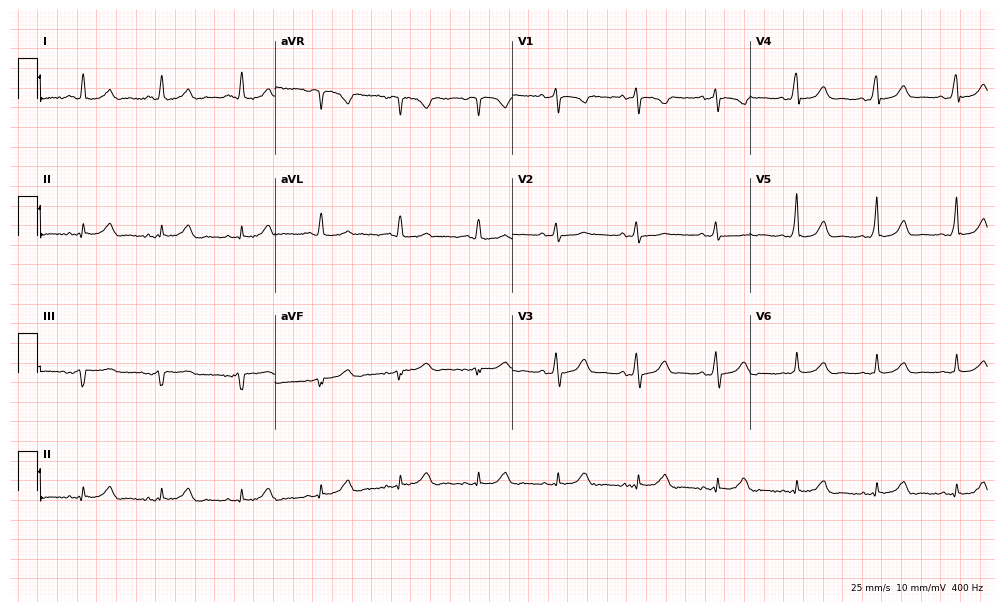
12-lead ECG from a 58-year-old female patient. Recorded interpretation: within normal limits.